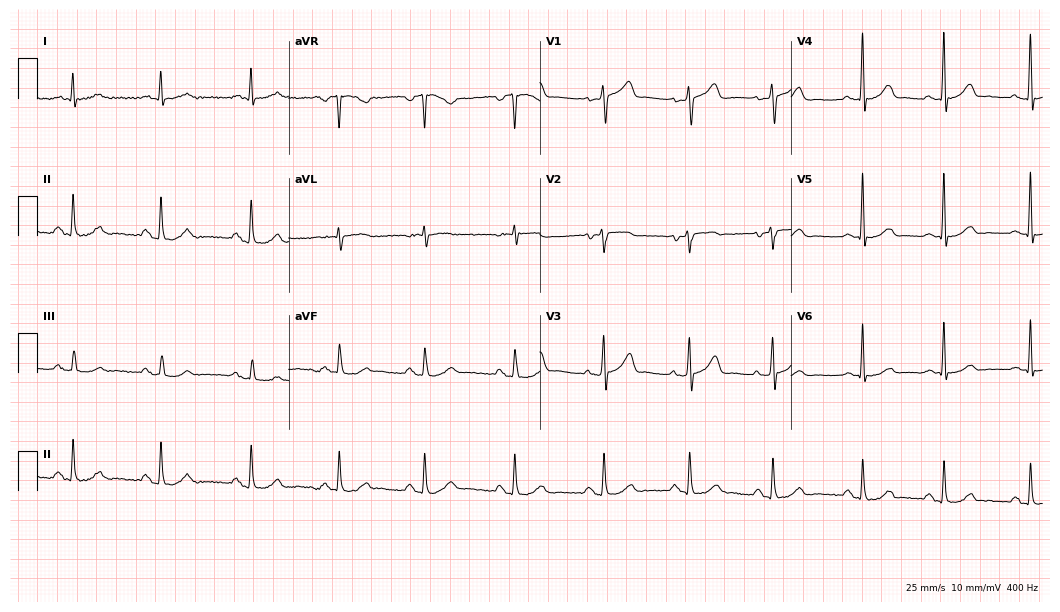
Resting 12-lead electrocardiogram. Patient: a male, 70 years old. Read as a normal ECG.